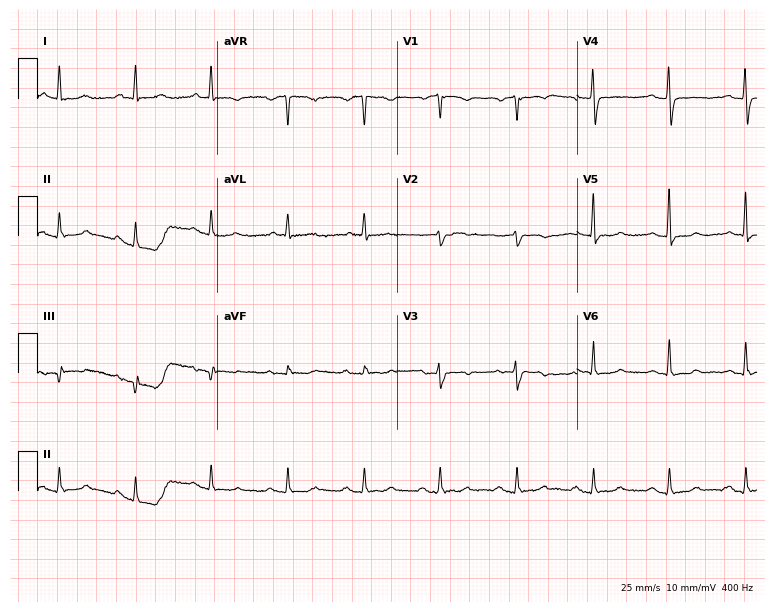
Resting 12-lead electrocardiogram. Patient: an 82-year-old female. None of these six findings is recorded: first-degree AV block, right bundle branch block, left bundle branch block, sinus bradycardia, atrial fibrillation, sinus tachycardia. Other findings, if any, are not listed.